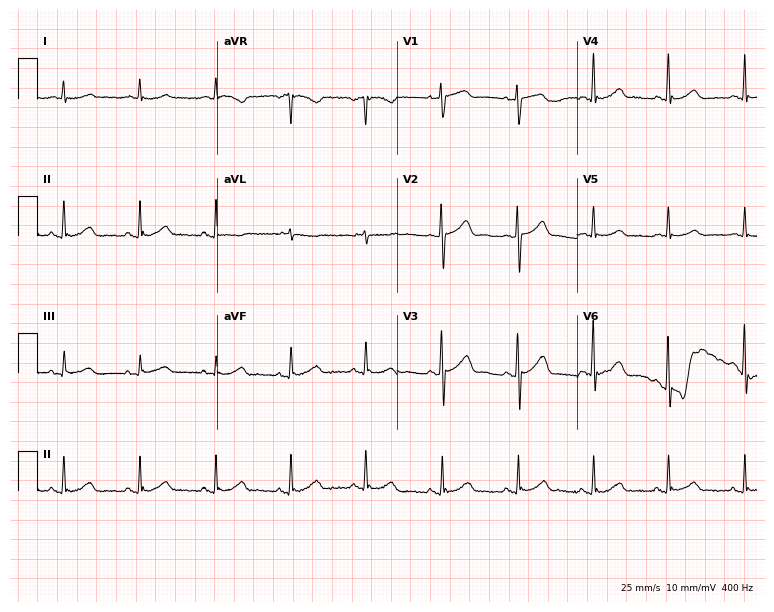
Standard 12-lead ECG recorded from a male patient, 75 years old (7.3-second recording at 400 Hz). Read as a normal ECG.